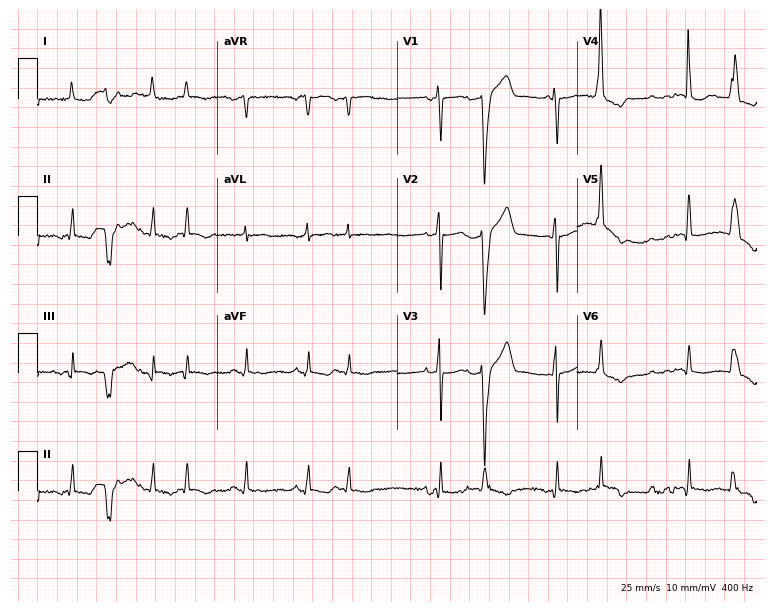
Resting 12-lead electrocardiogram. Patient: a man, 79 years old. None of these six findings is recorded: first-degree AV block, right bundle branch block, left bundle branch block, sinus bradycardia, atrial fibrillation, sinus tachycardia. Findings outside these six are not listed.